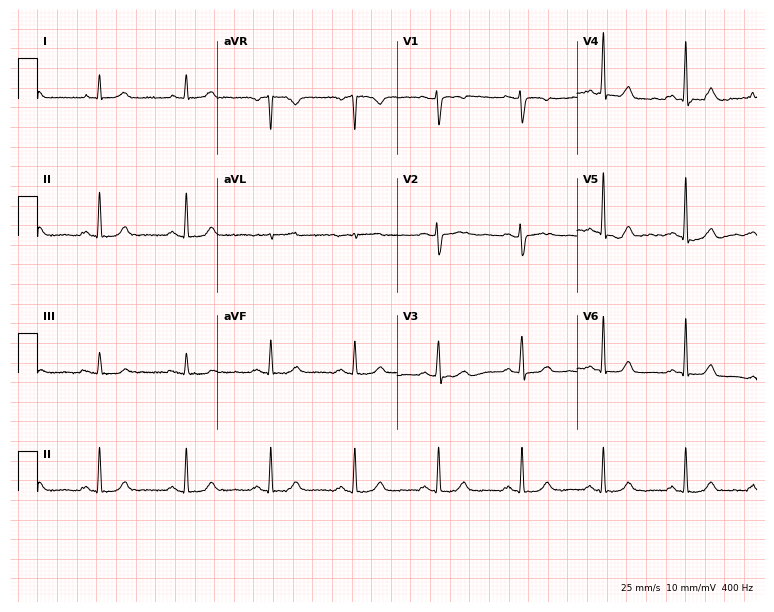
Standard 12-lead ECG recorded from a 46-year-old female (7.3-second recording at 400 Hz). Read as a normal ECG.